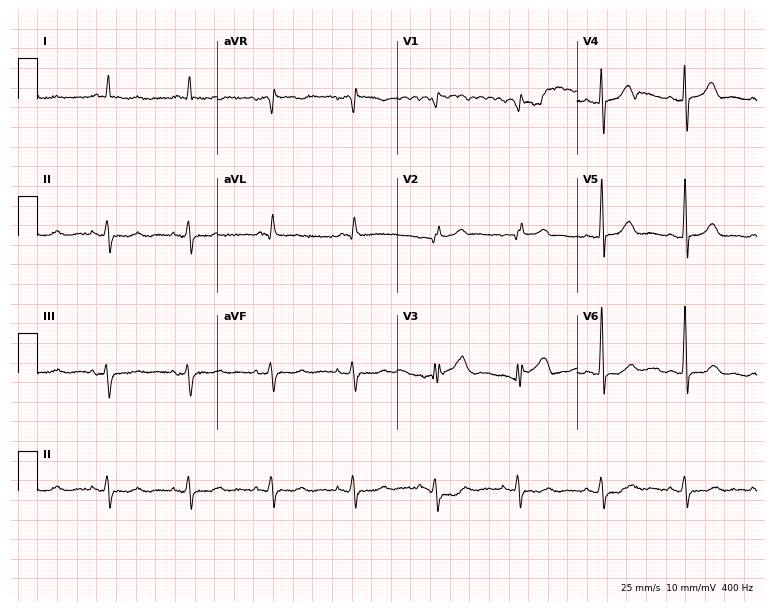
ECG — a 77-year-old male patient. Screened for six findings — first-degree AV block, right bundle branch block (RBBB), left bundle branch block (LBBB), sinus bradycardia, atrial fibrillation (AF), sinus tachycardia — none is recorded.